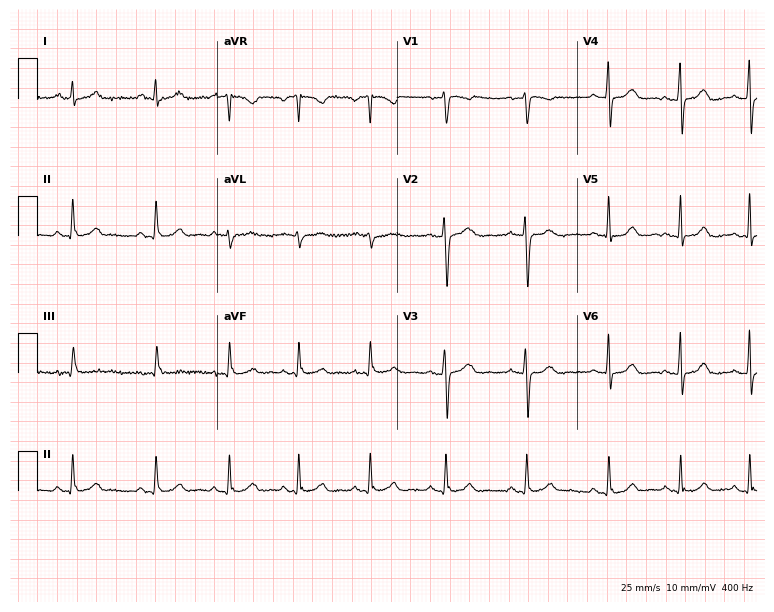
ECG (7.3-second recording at 400 Hz) — a 68-year-old female patient. Labelled as a normal ECG.